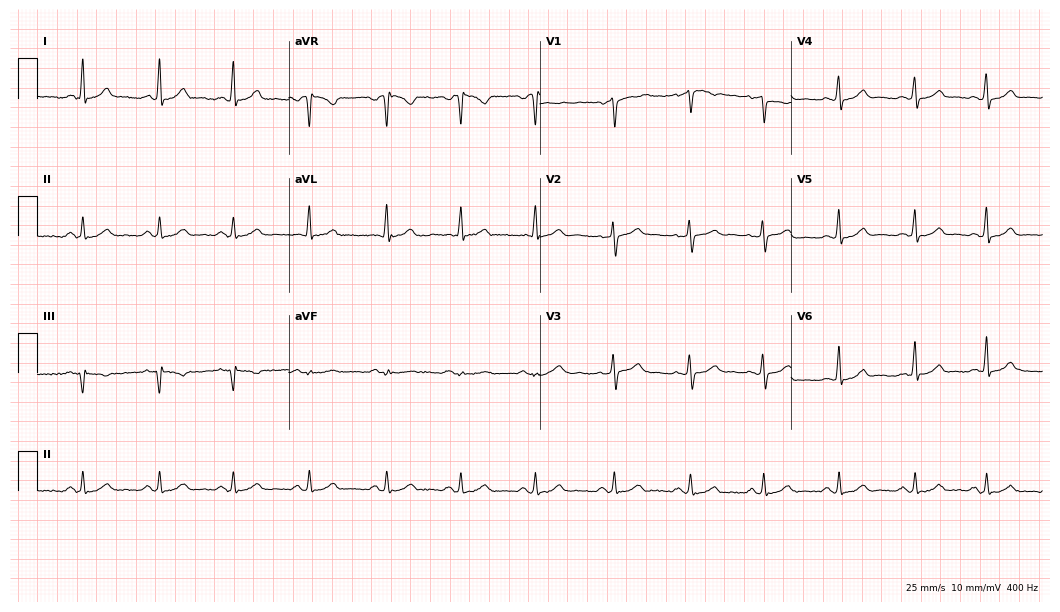
Electrocardiogram, a female patient, 37 years old. Overall reading on record: normal ECG.